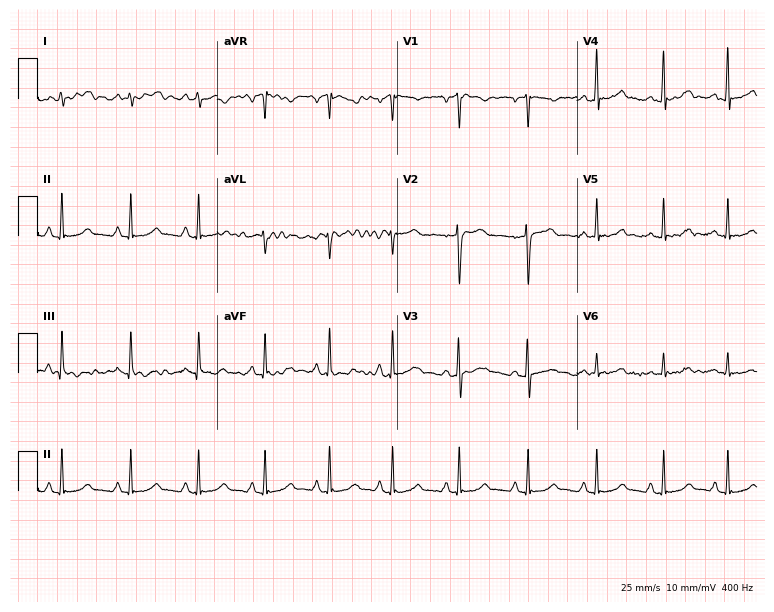
Standard 12-lead ECG recorded from a woman, 27 years old (7.3-second recording at 400 Hz). None of these six findings is recorded: first-degree AV block, right bundle branch block, left bundle branch block, sinus bradycardia, atrial fibrillation, sinus tachycardia.